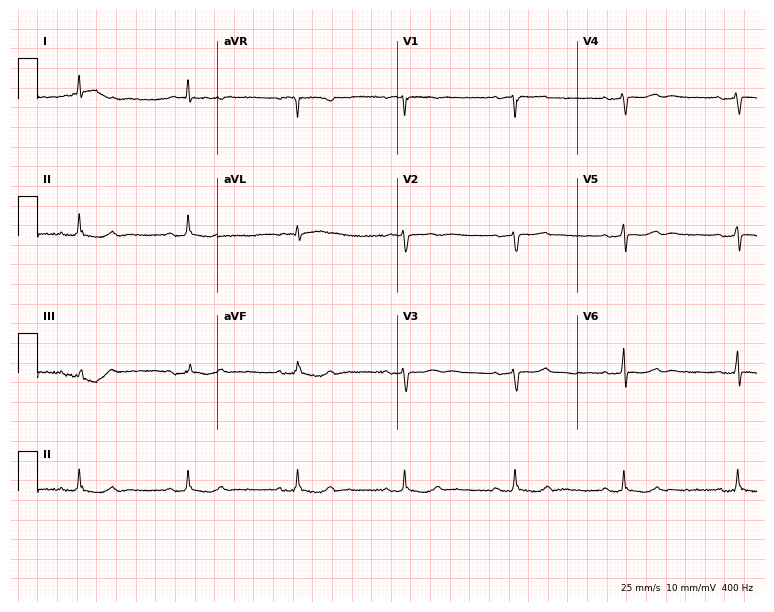
ECG (7.3-second recording at 400 Hz) — an 84-year-old female. Labelled as a normal ECG.